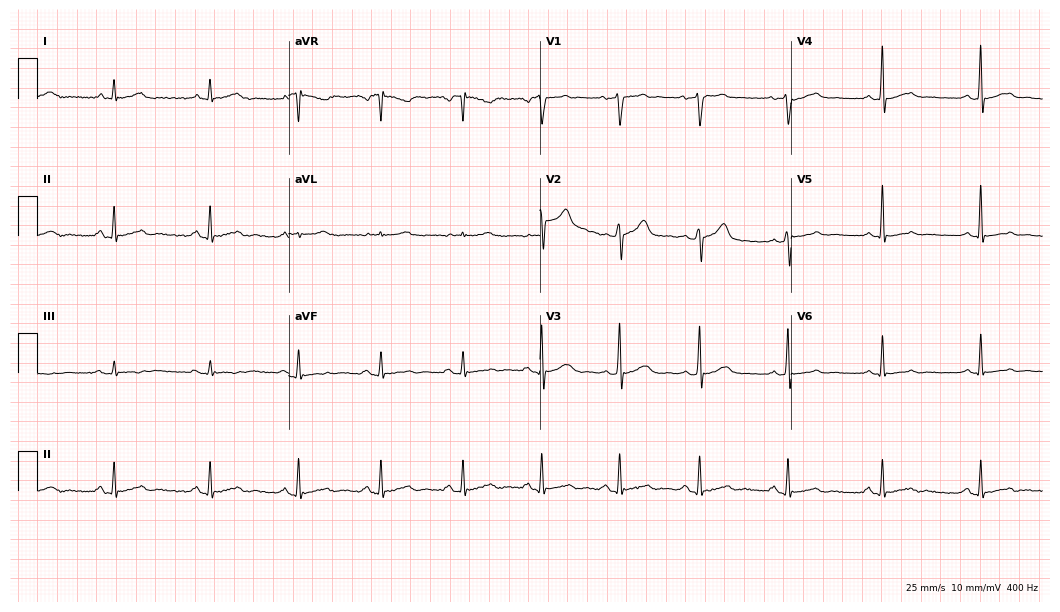
Standard 12-lead ECG recorded from a 51-year-old male patient (10.2-second recording at 400 Hz). Read as a normal ECG.